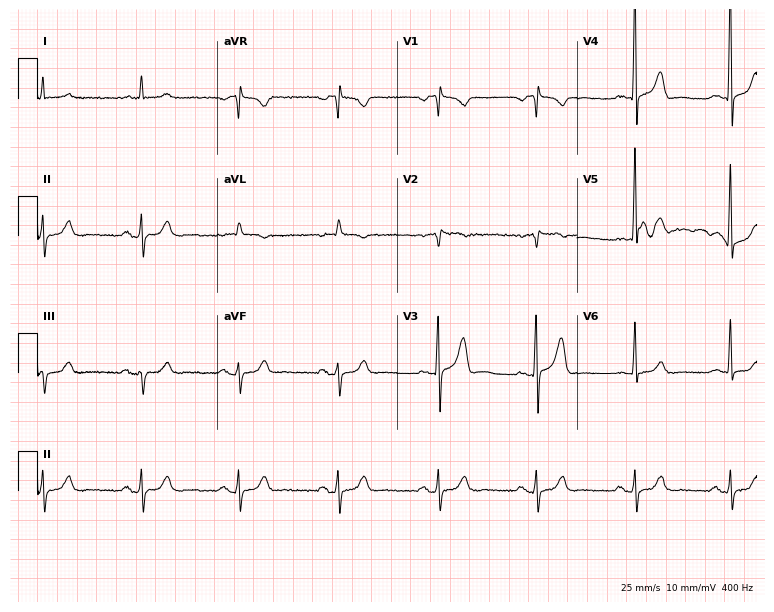
ECG (7.3-second recording at 400 Hz) — a male, 61 years old. Screened for six findings — first-degree AV block, right bundle branch block, left bundle branch block, sinus bradycardia, atrial fibrillation, sinus tachycardia — none is recorded.